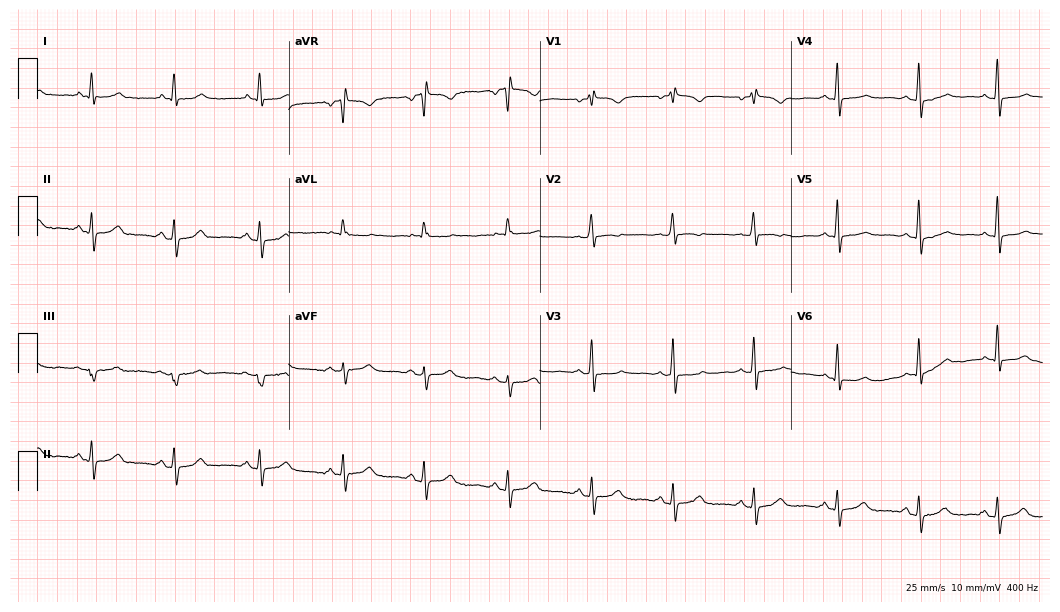
ECG (10.2-second recording at 400 Hz) — a female patient, 65 years old. Screened for six findings — first-degree AV block, right bundle branch block, left bundle branch block, sinus bradycardia, atrial fibrillation, sinus tachycardia — none is recorded.